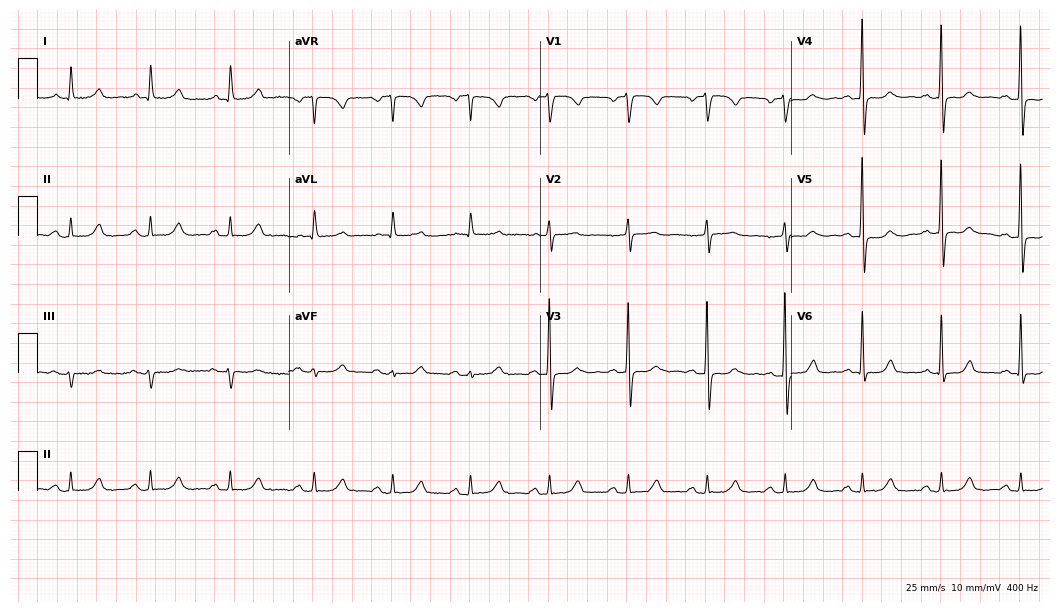
Resting 12-lead electrocardiogram. Patient: a 62-year-old woman. Read as a normal ECG.